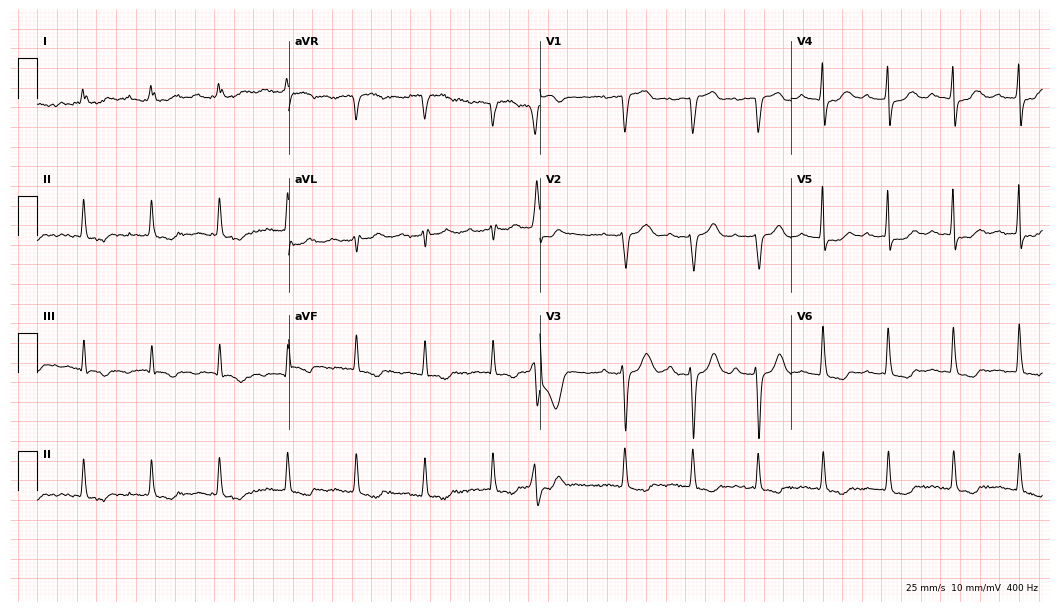
Standard 12-lead ECG recorded from an 88-year-old male. None of these six findings is recorded: first-degree AV block, right bundle branch block, left bundle branch block, sinus bradycardia, atrial fibrillation, sinus tachycardia.